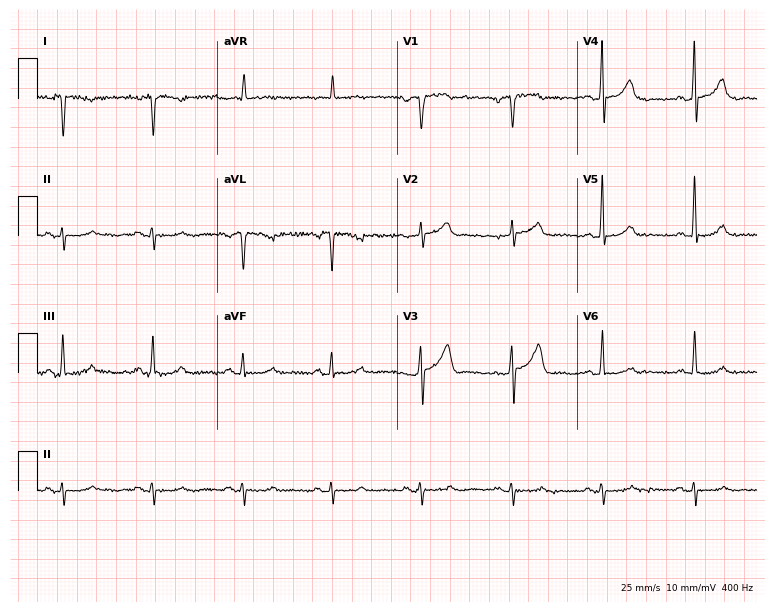
ECG — a 77-year-old female patient. Screened for six findings — first-degree AV block, right bundle branch block (RBBB), left bundle branch block (LBBB), sinus bradycardia, atrial fibrillation (AF), sinus tachycardia — none is recorded. Only these six findings were labelled.